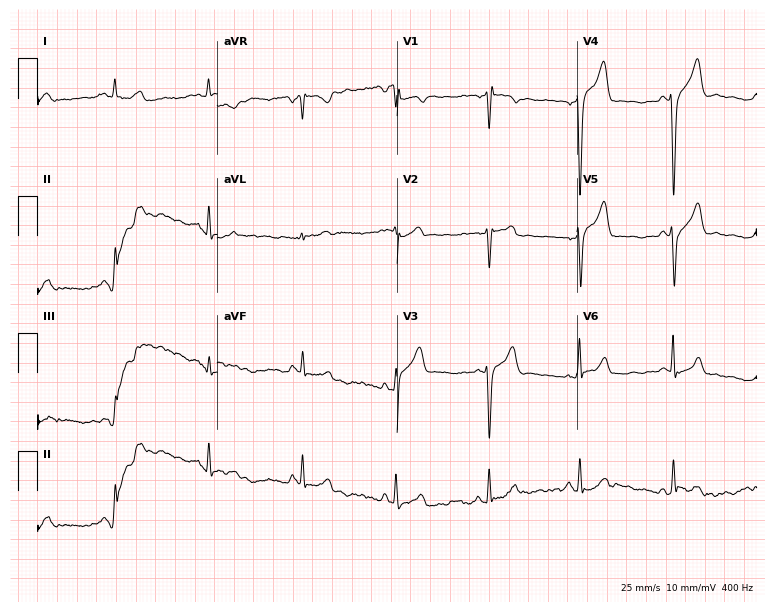
12-lead ECG from a 56-year-old man. No first-degree AV block, right bundle branch block, left bundle branch block, sinus bradycardia, atrial fibrillation or sinus tachycardia recorded for this tracing.